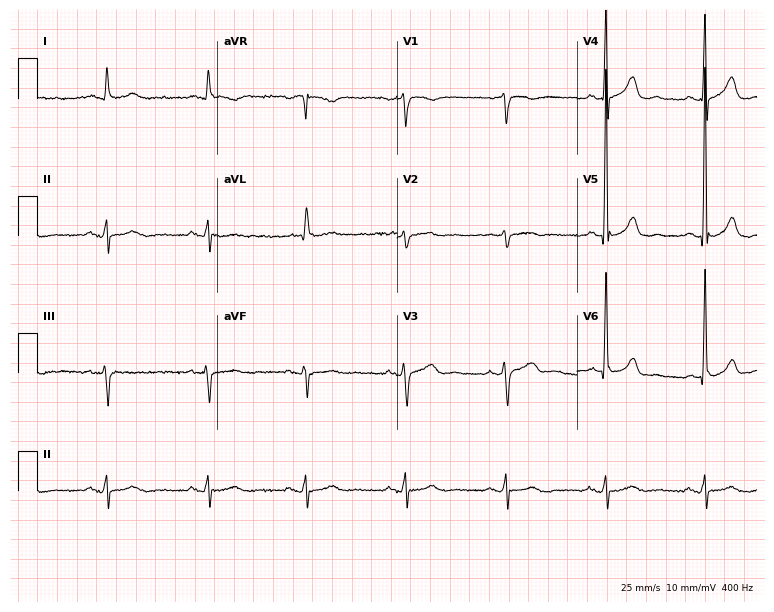
Electrocardiogram (7.3-second recording at 400 Hz), a 76-year-old man. Of the six screened findings (first-degree AV block, right bundle branch block (RBBB), left bundle branch block (LBBB), sinus bradycardia, atrial fibrillation (AF), sinus tachycardia), none is recorded. Only these six findings were labelled.